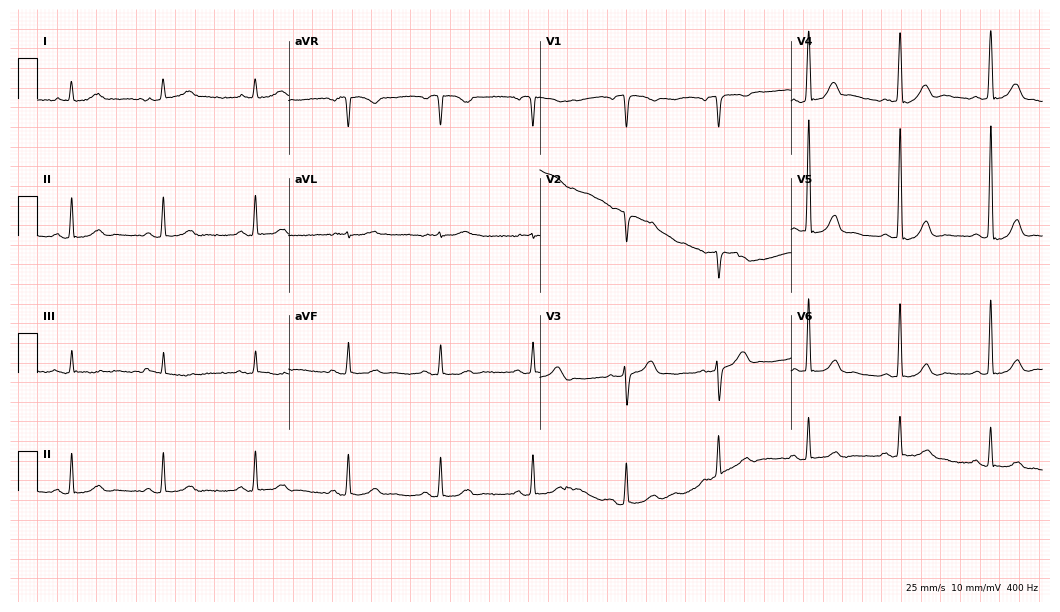
ECG (10.2-second recording at 400 Hz) — a 76-year-old man. Screened for six findings — first-degree AV block, right bundle branch block (RBBB), left bundle branch block (LBBB), sinus bradycardia, atrial fibrillation (AF), sinus tachycardia — none is recorded. Findings outside these six are not listed.